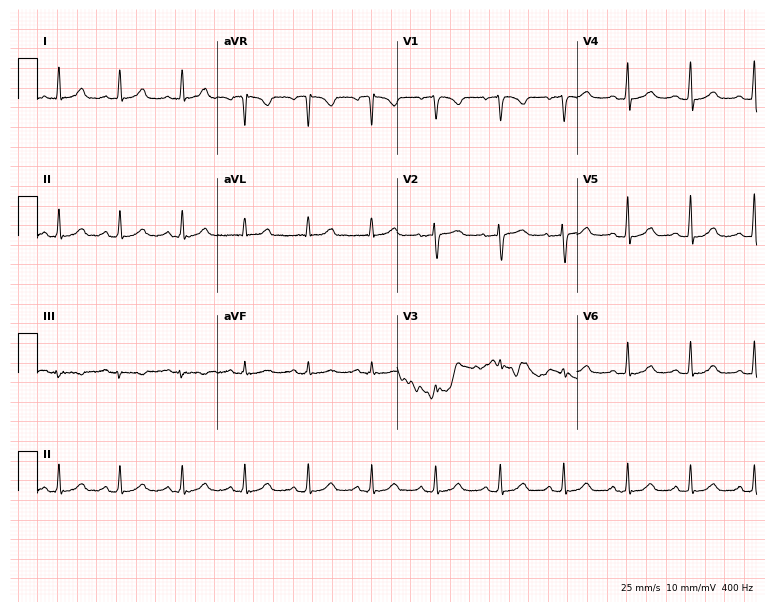
Standard 12-lead ECG recorded from a woman, 50 years old (7.3-second recording at 400 Hz). Read as a normal ECG.